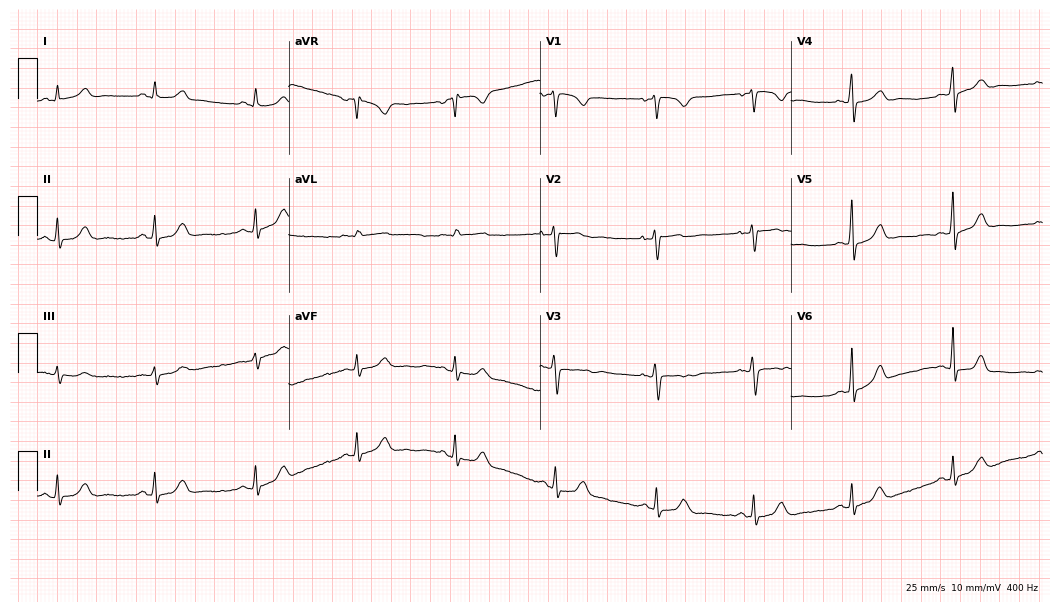
12-lead ECG from a female, 40 years old. Recorded interpretation: within normal limits.